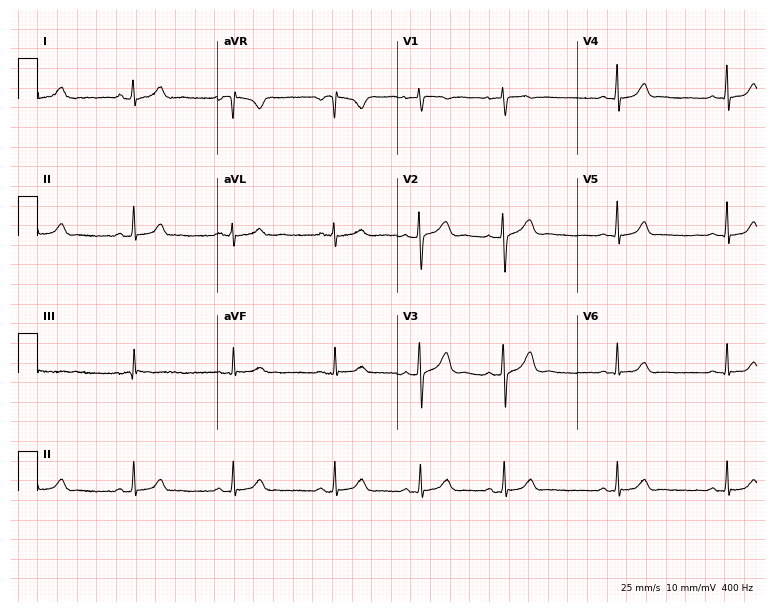
12-lead ECG (7.3-second recording at 400 Hz) from a female, 20 years old. Labelled as a normal ECG.